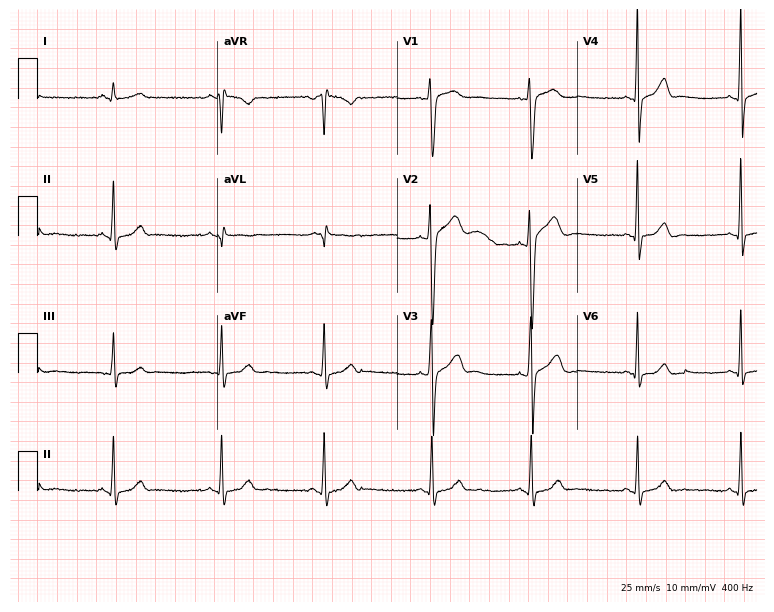
ECG (7.3-second recording at 400 Hz) — a 17-year-old male patient. Labelled as a normal ECG.